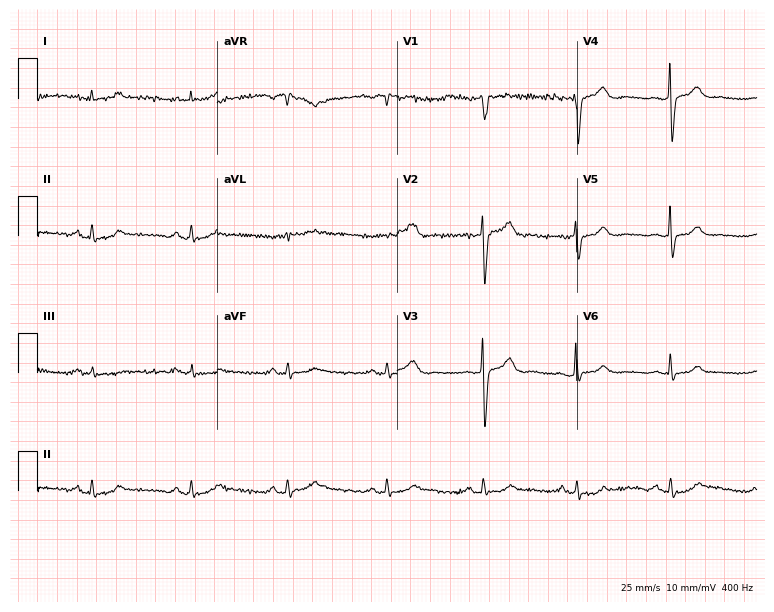
12-lead ECG from a male patient, 63 years old (7.3-second recording at 400 Hz). Recorded interpretation: within normal limits.